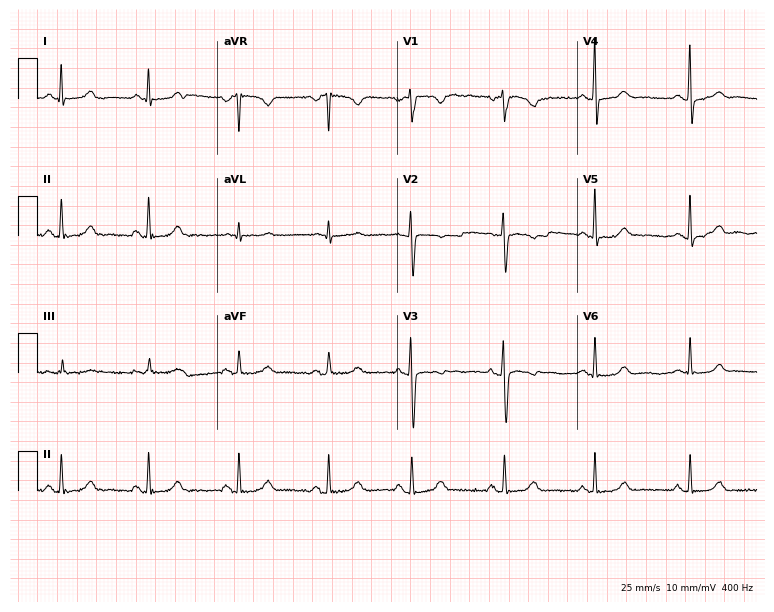
Electrocardiogram, a 50-year-old female. Overall reading on record: normal ECG.